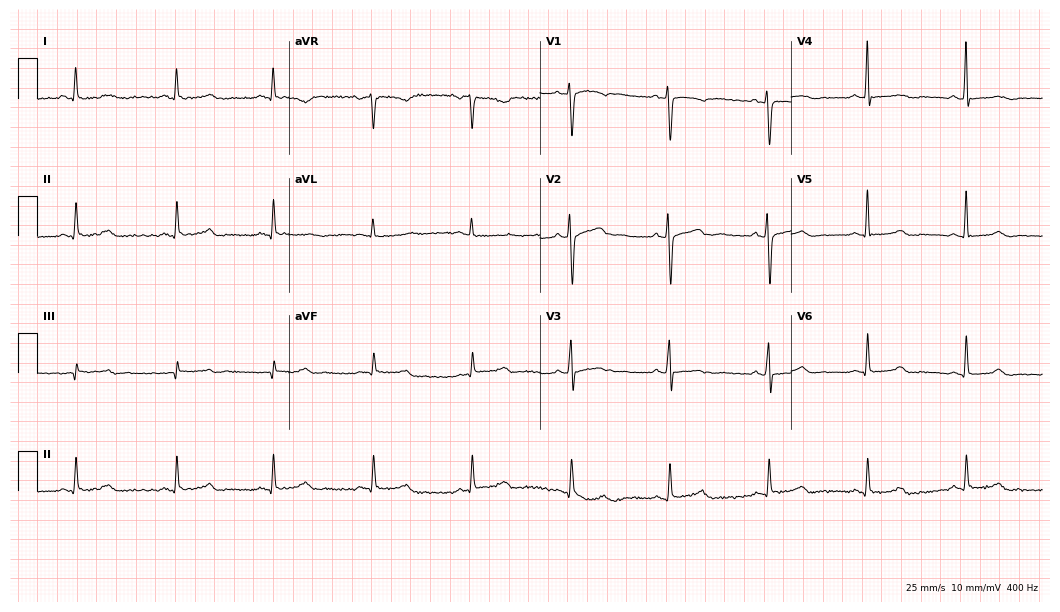
12-lead ECG from a female, 33 years old. Recorded interpretation: within normal limits.